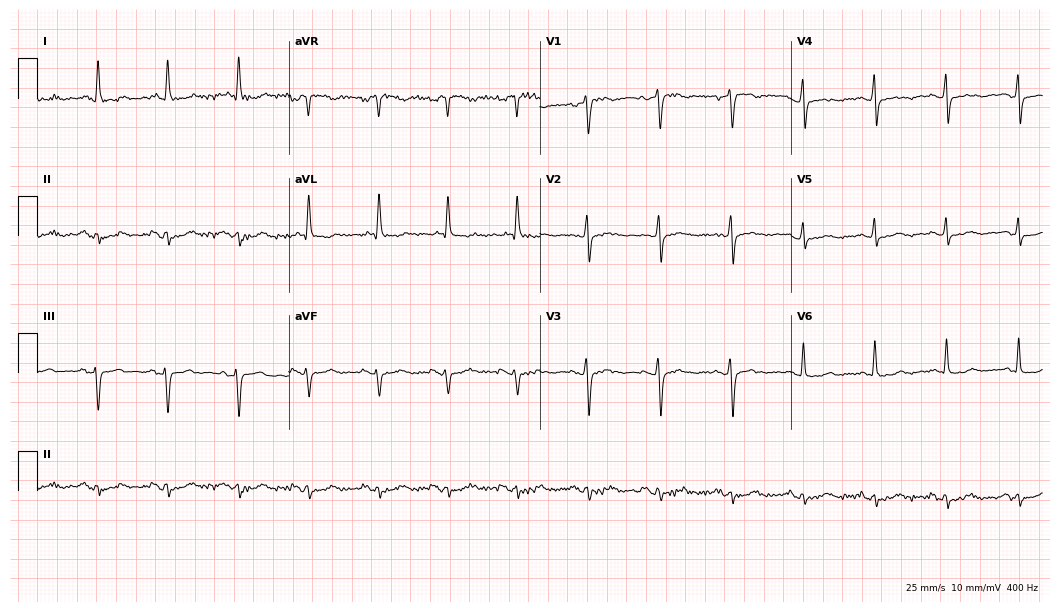
Electrocardiogram (10.2-second recording at 400 Hz), a woman, 79 years old. Of the six screened findings (first-degree AV block, right bundle branch block, left bundle branch block, sinus bradycardia, atrial fibrillation, sinus tachycardia), none is recorded. Only these six findings were labelled.